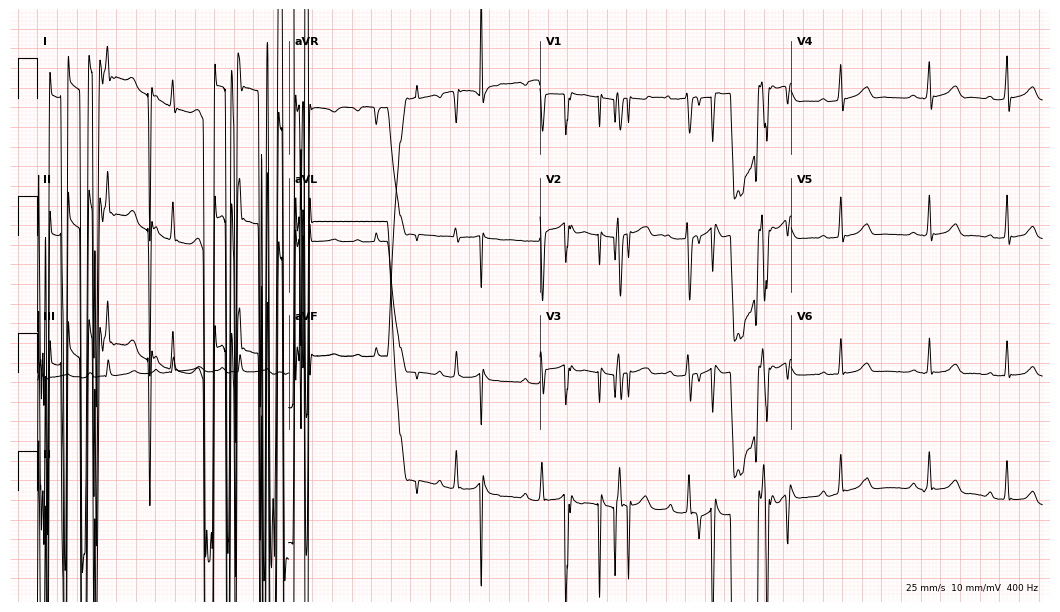
12-lead ECG from a 17-year-old woman (10.2-second recording at 400 Hz). No first-degree AV block, right bundle branch block, left bundle branch block, sinus bradycardia, atrial fibrillation or sinus tachycardia recorded for this tracing.